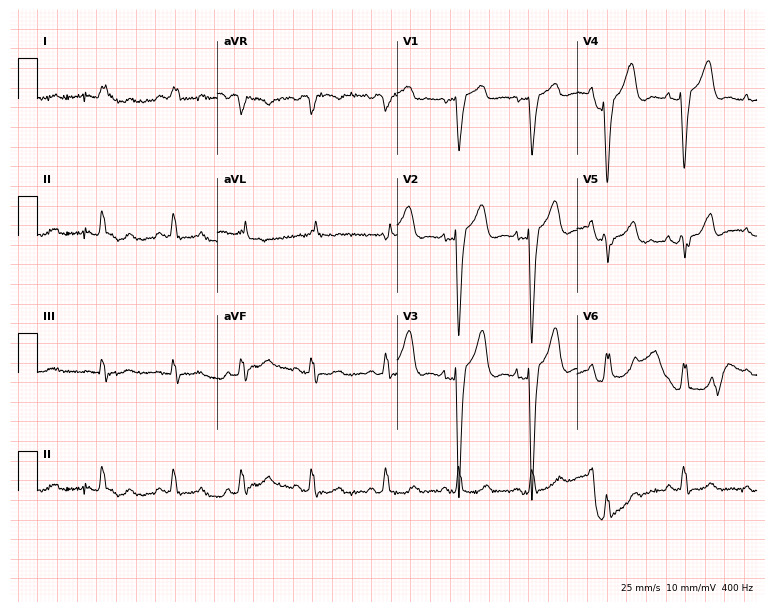
ECG — a 76-year-old female. Findings include left bundle branch block (LBBB).